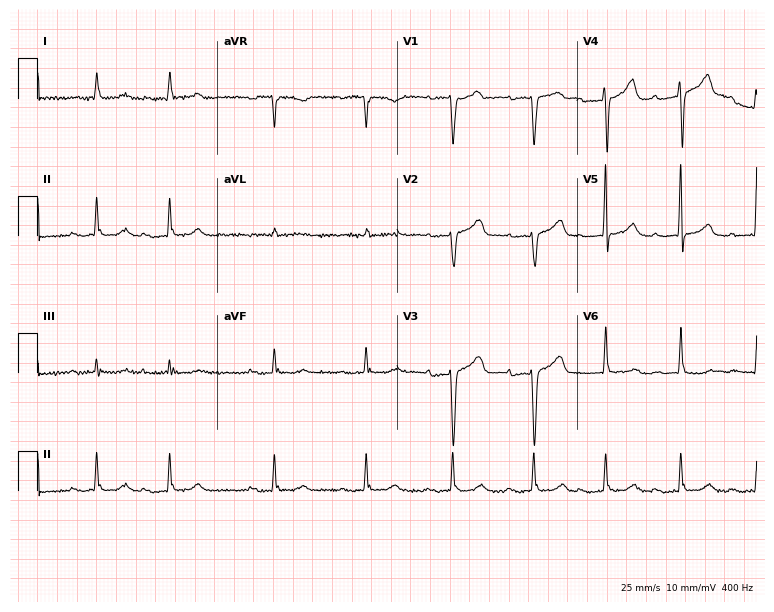
12-lead ECG from a woman, 51 years old. Shows first-degree AV block.